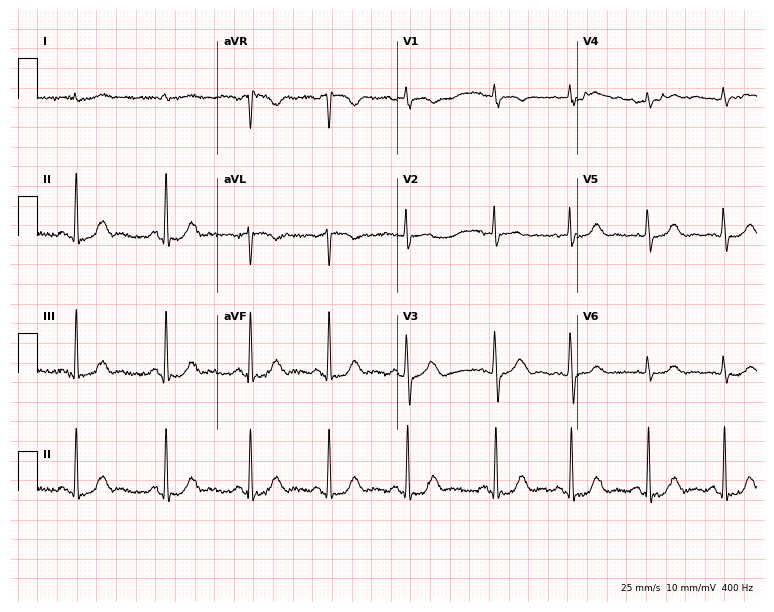
Standard 12-lead ECG recorded from a male, 75 years old (7.3-second recording at 400 Hz). Read as a normal ECG.